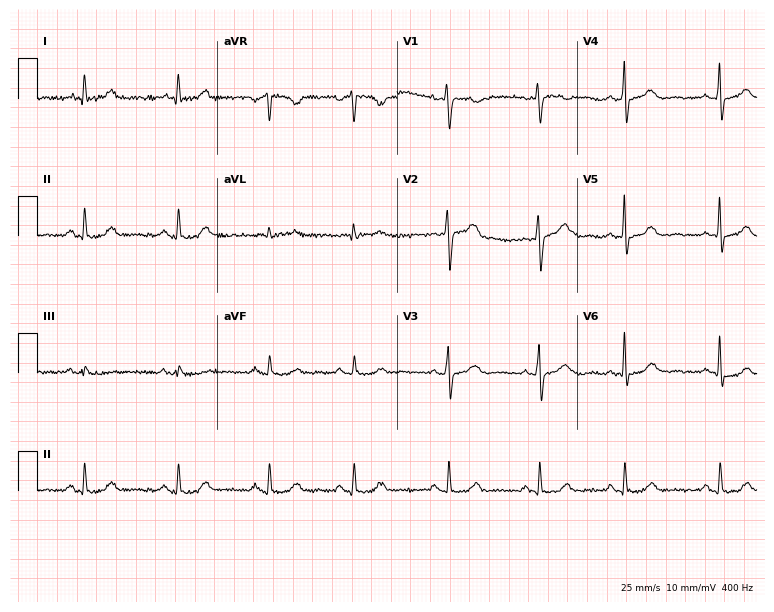
12-lead ECG from a female patient, 43 years old (7.3-second recording at 400 Hz). No first-degree AV block, right bundle branch block, left bundle branch block, sinus bradycardia, atrial fibrillation or sinus tachycardia recorded for this tracing.